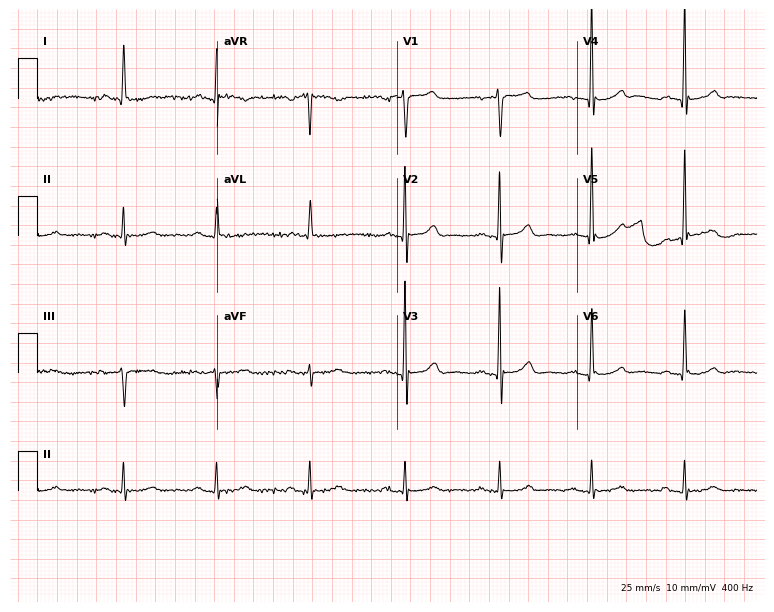
Electrocardiogram (7.3-second recording at 400 Hz), a male, 80 years old. Of the six screened findings (first-degree AV block, right bundle branch block, left bundle branch block, sinus bradycardia, atrial fibrillation, sinus tachycardia), none is recorded. Other findings, if any, are not listed.